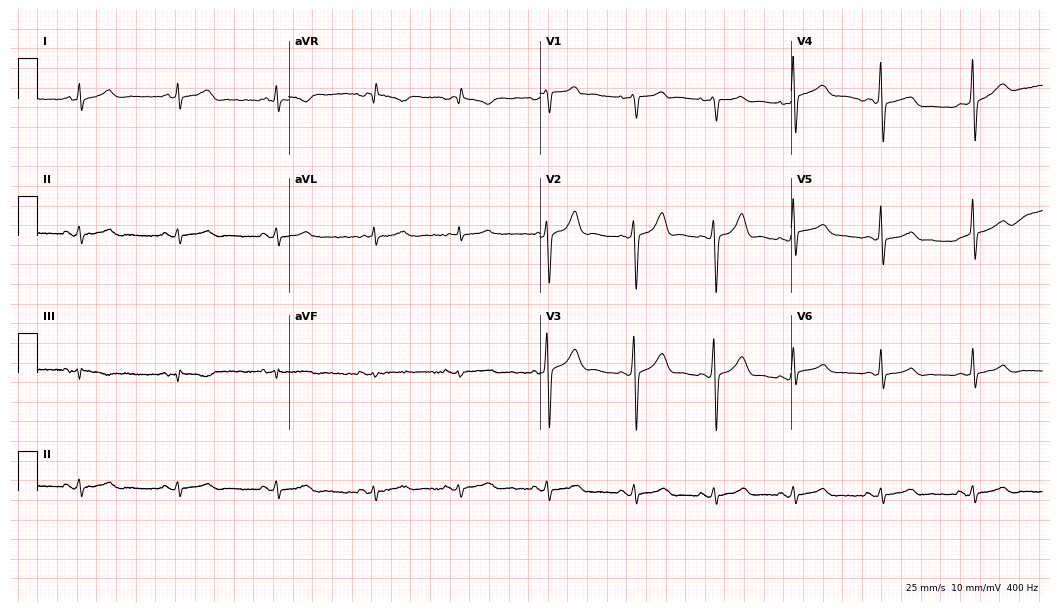
12-lead ECG from a male patient, 42 years old (10.2-second recording at 400 Hz). Recorded interpretation: within normal limits.